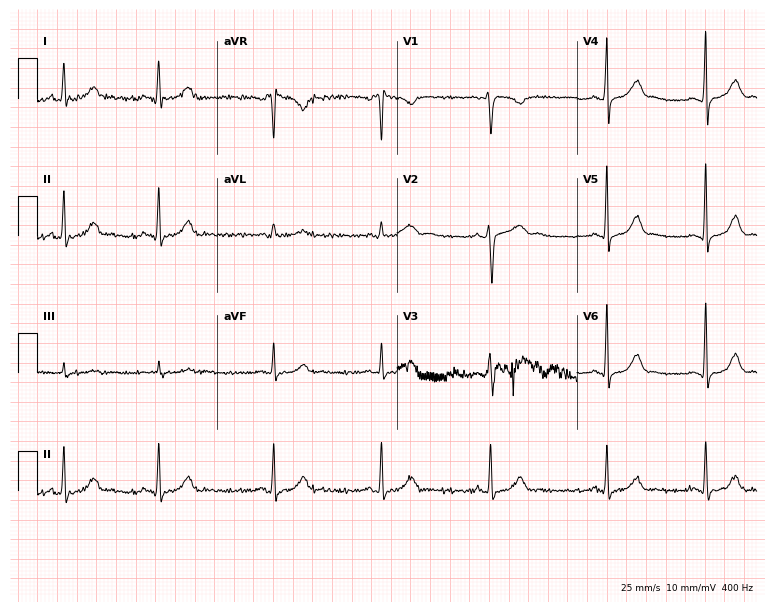
Standard 12-lead ECG recorded from a woman, 17 years old (7.3-second recording at 400 Hz). Read as a normal ECG.